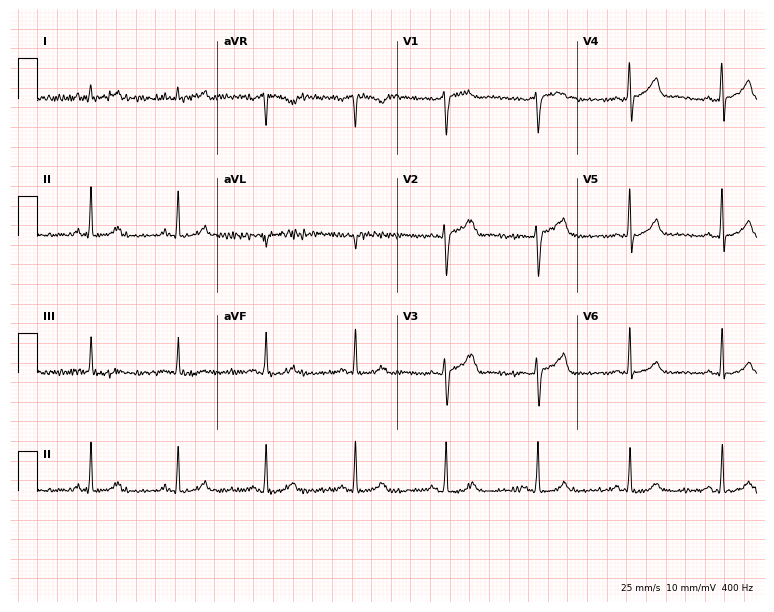
Electrocardiogram, a male patient, 49 years old. Overall reading on record: normal ECG.